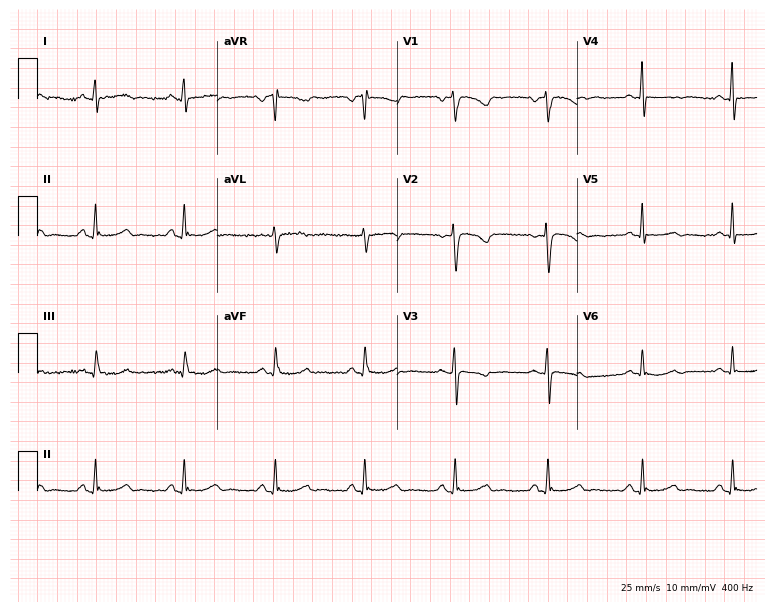
12-lead ECG from a 54-year-old female. Labelled as a normal ECG.